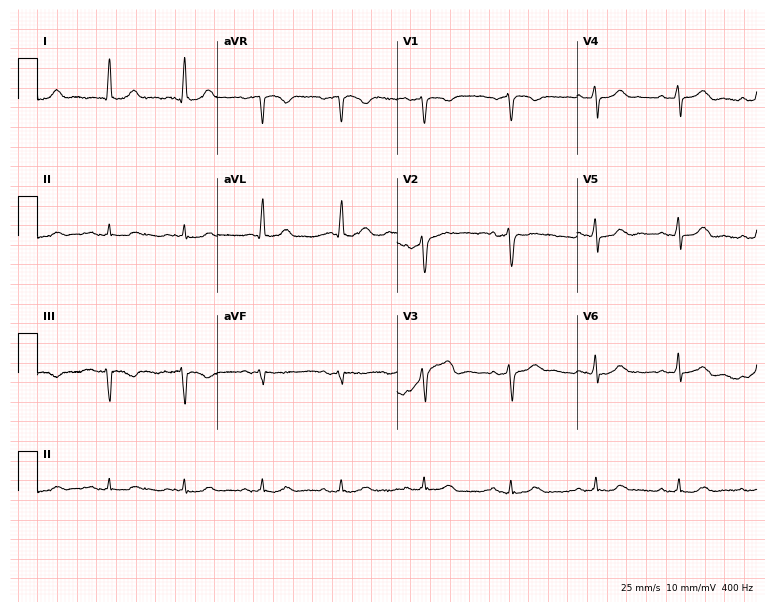
12-lead ECG from an 84-year-old male. Recorded interpretation: within normal limits.